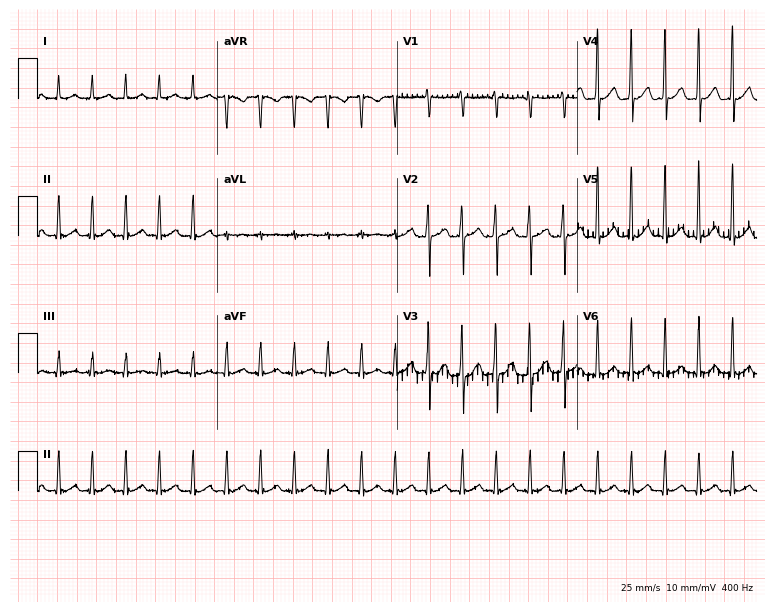
Electrocardiogram (7.3-second recording at 400 Hz), a 59-year-old man. Of the six screened findings (first-degree AV block, right bundle branch block (RBBB), left bundle branch block (LBBB), sinus bradycardia, atrial fibrillation (AF), sinus tachycardia), none is recorded. Other findings, if any, are not listed.